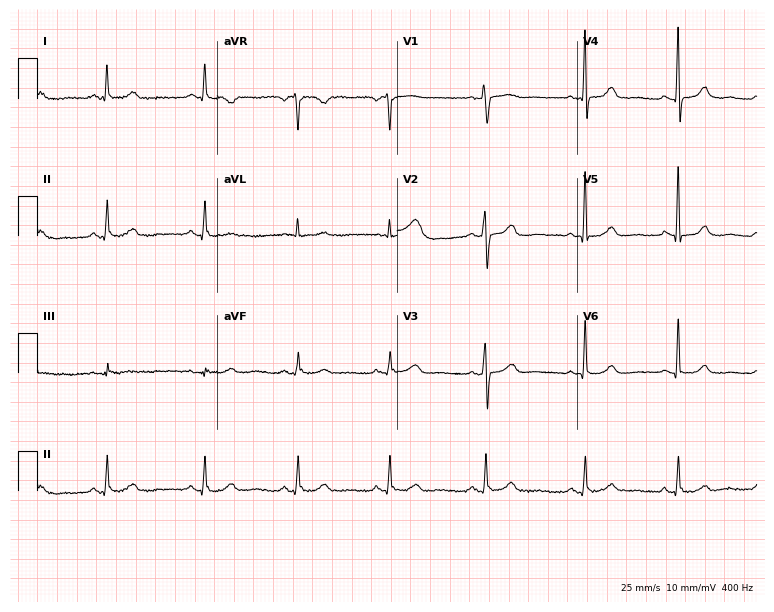
Electrocardiogram (7.3-second recording at 400 Hz), a female, 61 years old. Overall reading on record: normal ECG.